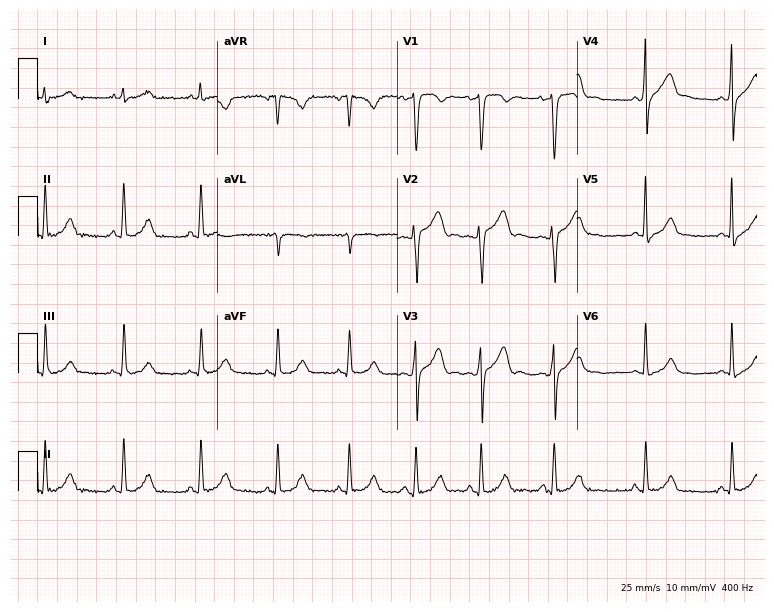
Electrocardiogram (7.3-second recording at 400 Hz), a male, 32 years old. Of the six screened findings (first-degree AV block, right bundle branch block, left bundle branch block, sinus bradycardia, atrial fibrillation, sinus tachycardia), none is recorded.